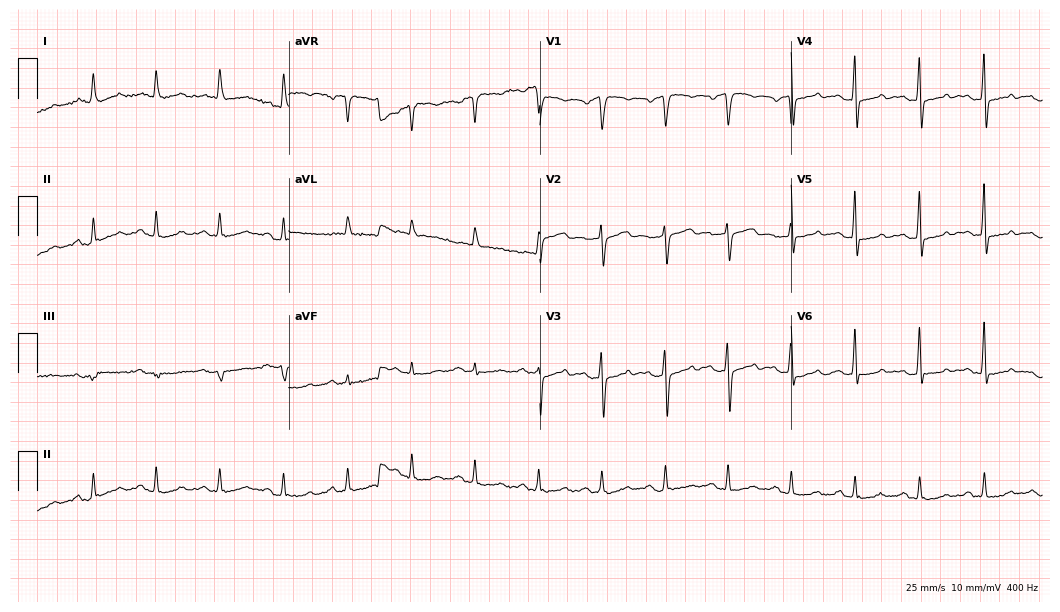
Standard 12-lead ECG recorded from a 68-year-old male (10.2-second recording at 400 Hz). None of these six findings is recorded: first-degree AV block, right bundle branch block (RBBB), left bundle branch block (LBBB), sinus bradycardia, atrial fibrillation (AF), sinus tachycardia. Findings outside these six are not listed.